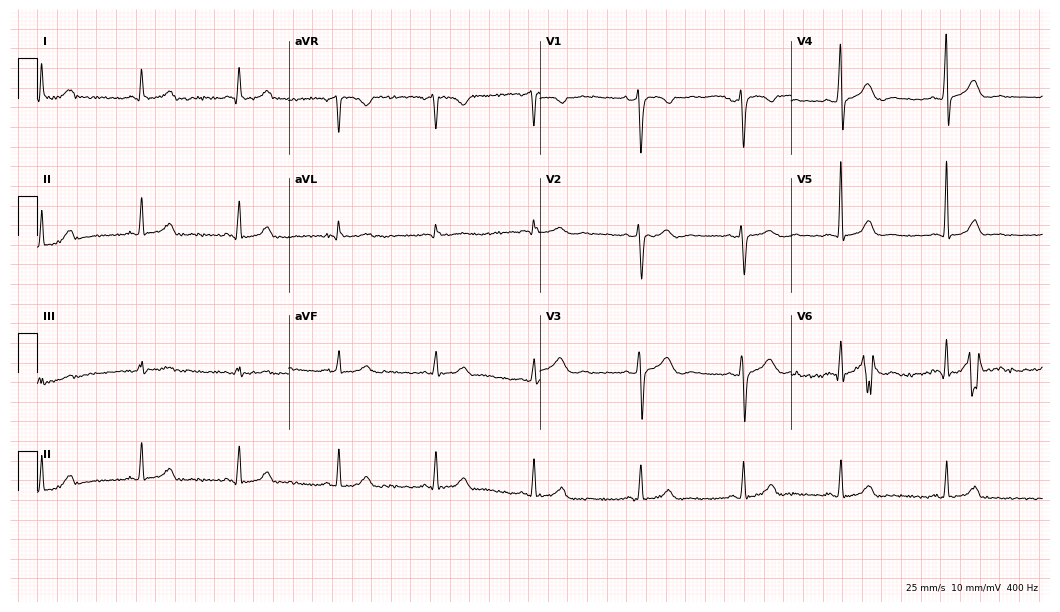
12-lead ECG (10.2-second recording at 400 Hz) from a 32-year-old female patient. Labelled as a normal ECG.